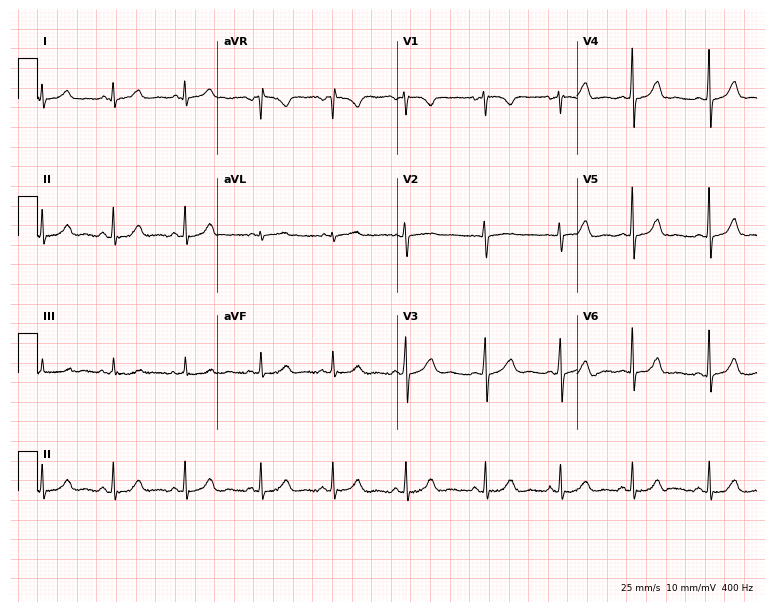
ECG — a female, 24 years old. Screened for six findings — first-degree AV block, right bundle branch block, left bundle branch block, sinus bradycardia, atrial fibrillation, sinus tachycardia — none is recorded.